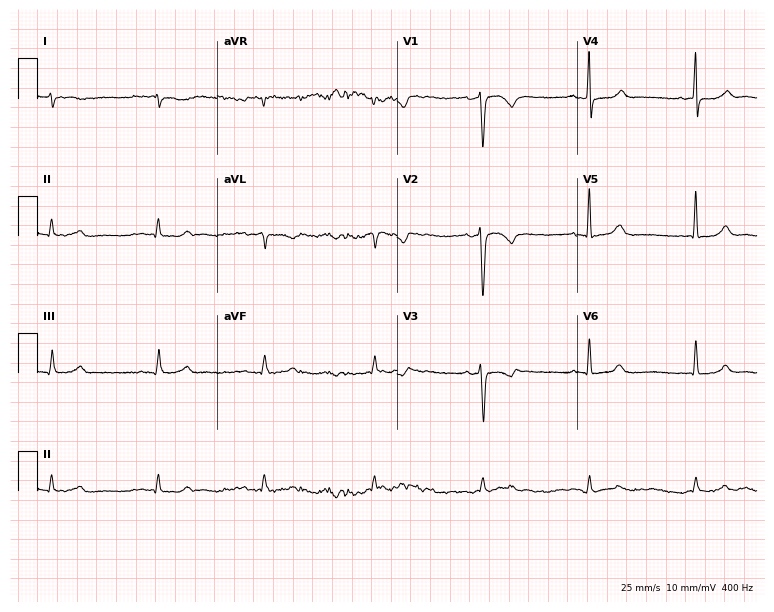
Electrocardiogram, a 40-year-old female patient. Of the six screened findings (first-degree AV block, right bundle branch block, left bundle branch block, sinus bradycardia, atrial fibrillation, sinus tachycardia), none is recorded.